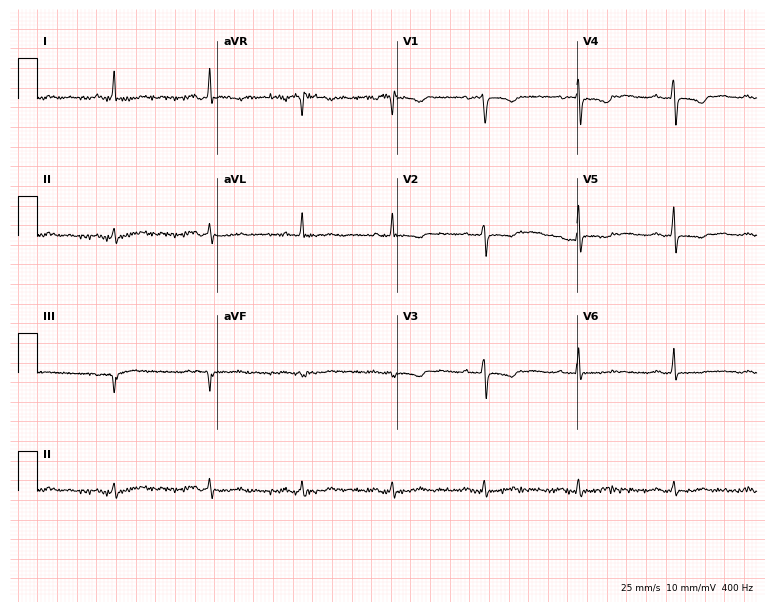
12-lead ECG from a female, 60 years old (7.3-second recording at 400 Hz). No first-degree AV block, right bundle branch block, left bundle branch block, sinus bradycardia, atrial fibrillation or sinus tachycardia recorded for this tracing. Findings outside these six are not listed.